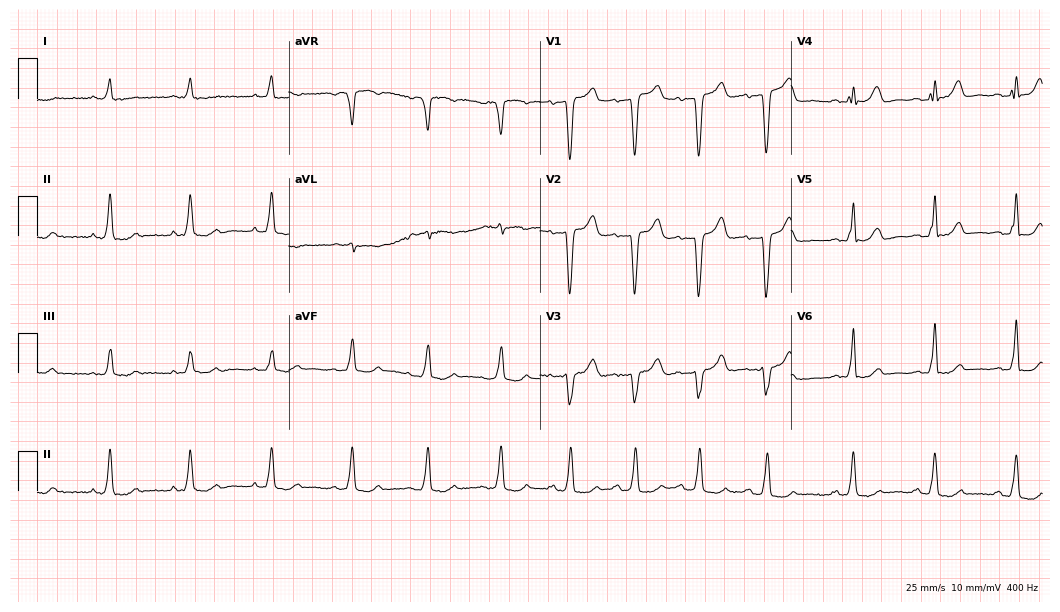
Standard 12-lead ECG recorded from a 70-year-old female (10.2-second recording at 400 Hz). None of these six findings is recorded: first-degree AV block, right bundle branch block (RBBB), left bundle branch block (LBBB), sinus bradycardia, atrial fibrillation (AF), sinus tachycardia.